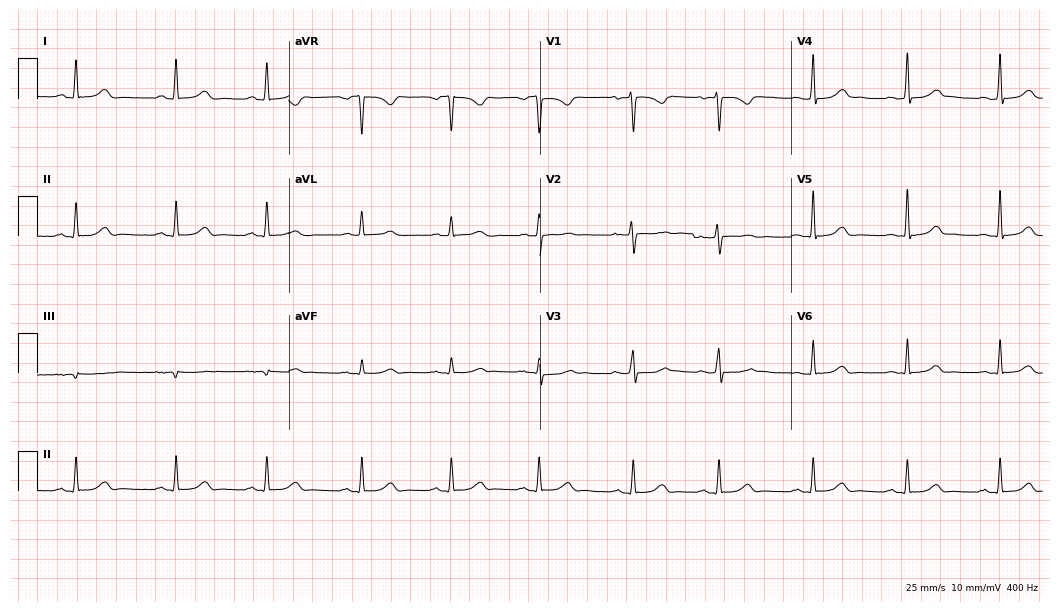
12-lead ECG (10.2-second recording at 400 Hz) from a 32-year-old female patient. Labelled as a normal ECG.